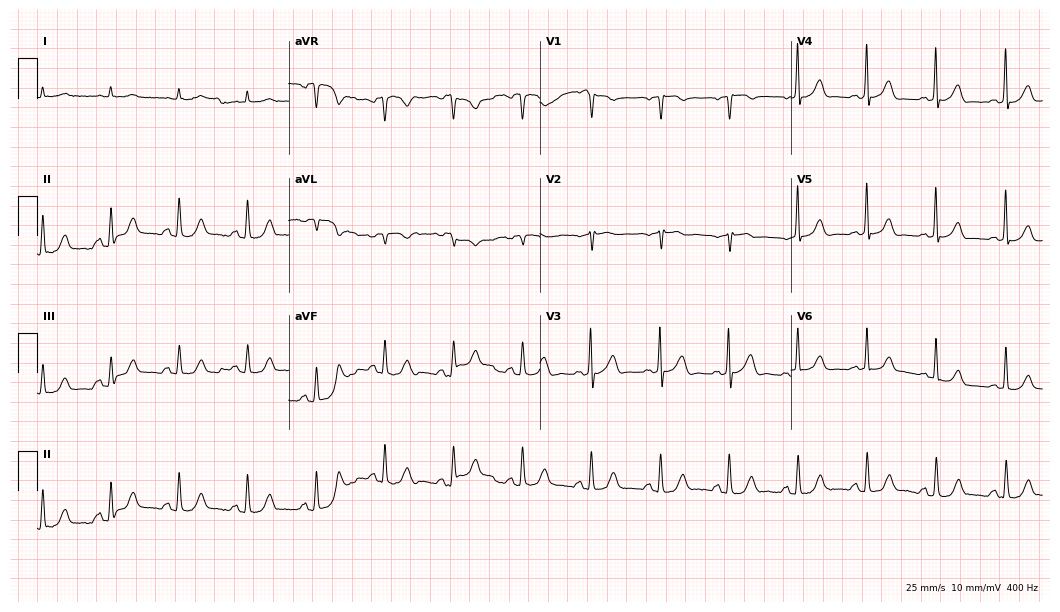
Standard 12-lead ECG recorded from a male, 67 years old (10.2-second recording at 400 Hz). None of these six findings is recorded: first-degree AV block, right bundle branch block, left bundle branch block, sinus bradycardia, atrial fibrillation, sinus tachycardia. Other findings, if any, are not listed.